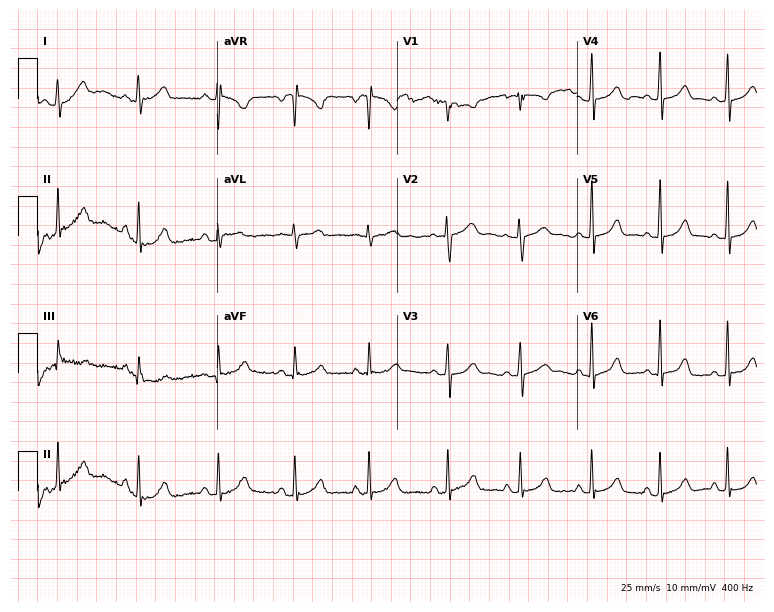
Resting 12-lead electrocardiogram. Patient: a 21-year-old woman. Read as a normal ECG.